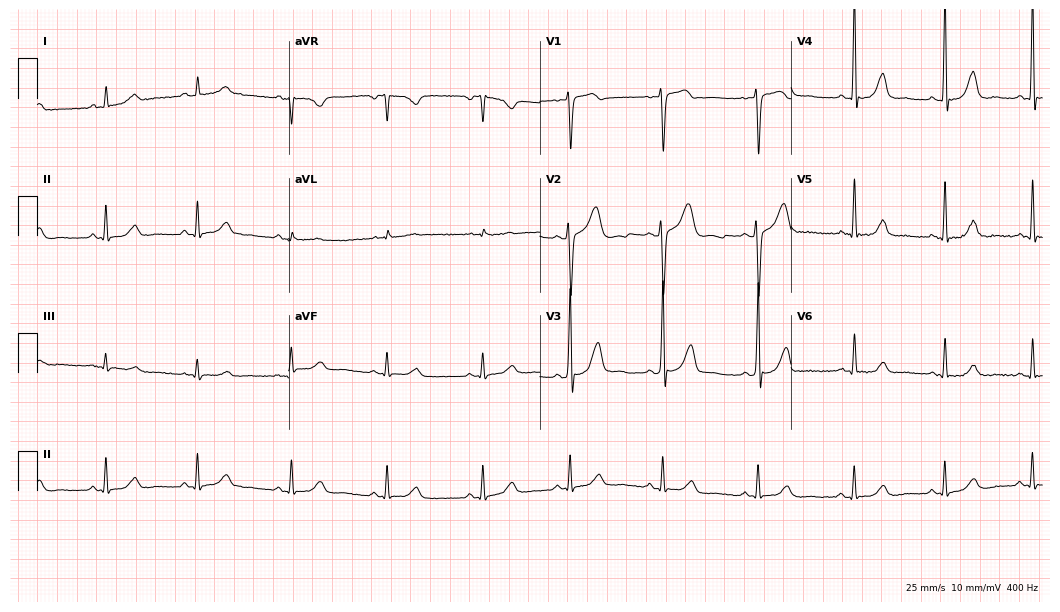
Standard 12-lead ECG recorded from a woman, 49 years old (10.2-second recording at 400 Hz). Read as a normal ECG.